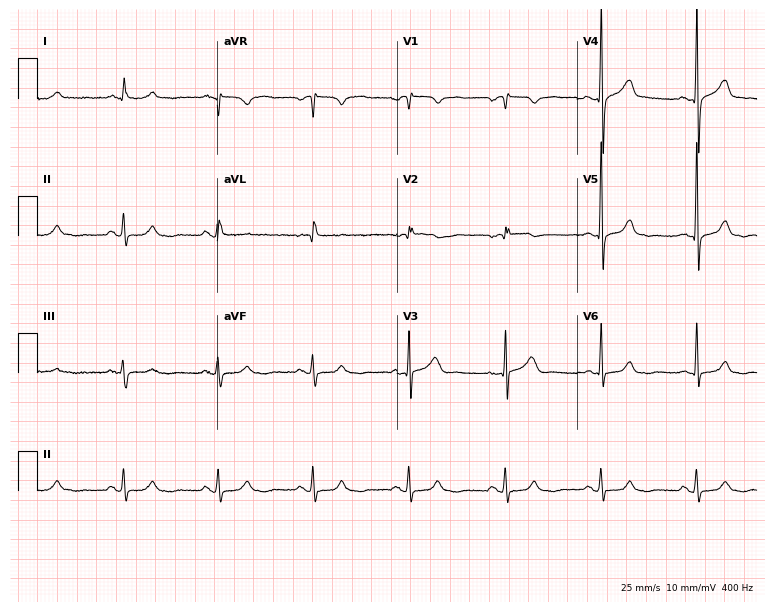
Resting 12-lead electrocardiogram (7.3-second recording at 400 Hz). Patient: a man, 70 years old. None of these six findings is recorded: first-degree AV block, right bundle branch block, left bundle branch block, sinus bradycardia, atrial fibrillation, sinus tachycardia.